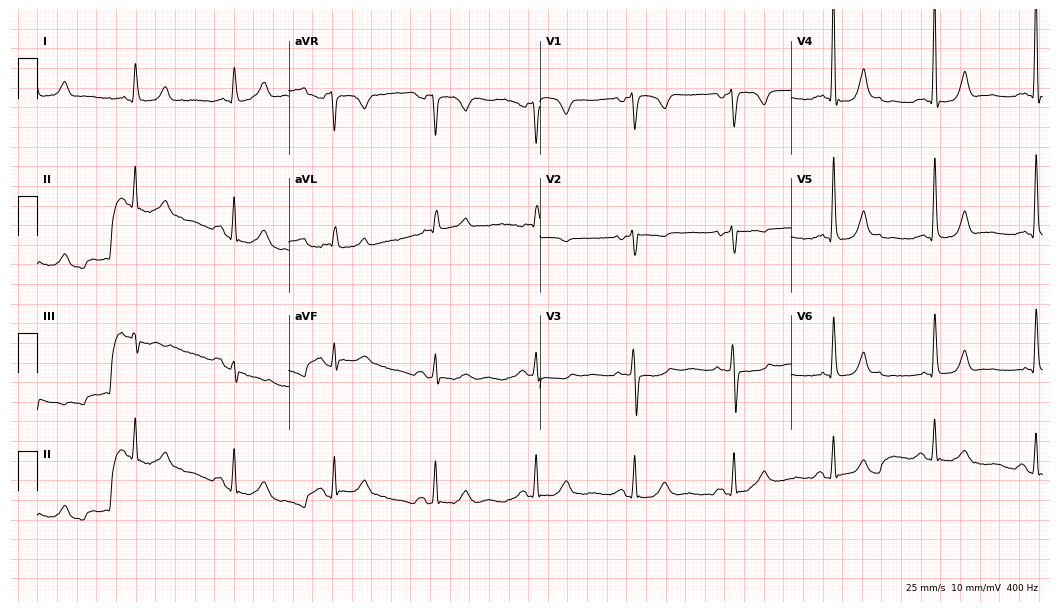
Electrocardiogram (10.2-second recording at 400 Hz), a 73-year-old woman. Overall reading on record: normal ECG.